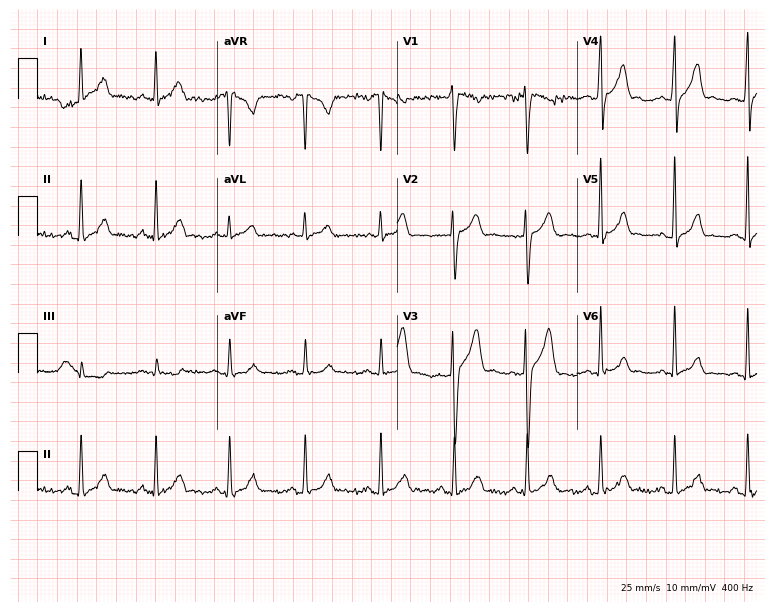
Standard 12-lead ECG recorded from a 34-year-old man (7.3-second recording at 400 Hz). Read as a normal ECG.